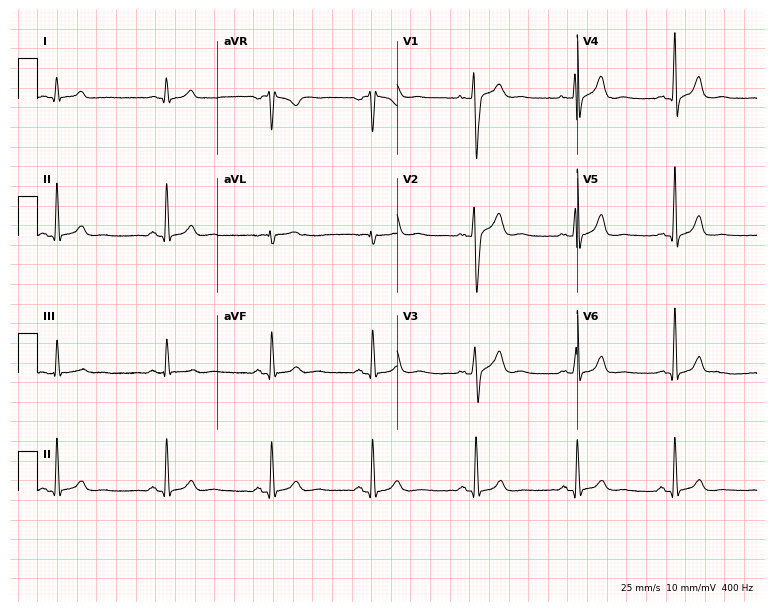
Resting 12-lead electrocardiogram (7.3-second recording at 400 Hz). Patient: a man, 38 years old. Read as a normal ECG.